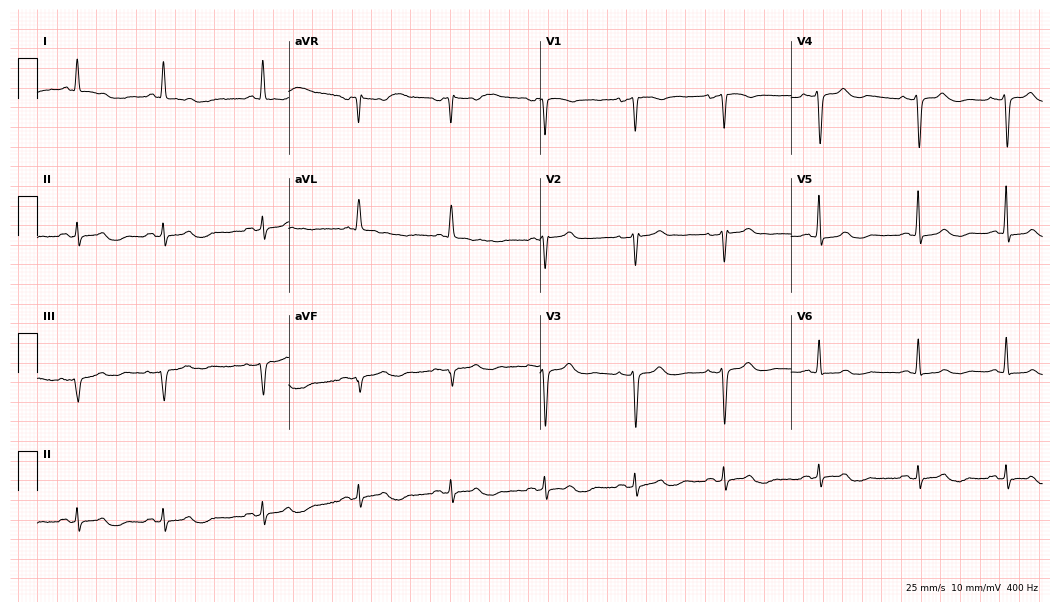
Electrocardiogram, a 71-year-old female. Of the six screened findings (first-degree AV block, right bundle branch block, left bundle branch block, sinus bradycardia, atrial fibrillation, sinus tachycardia), none is recorded.